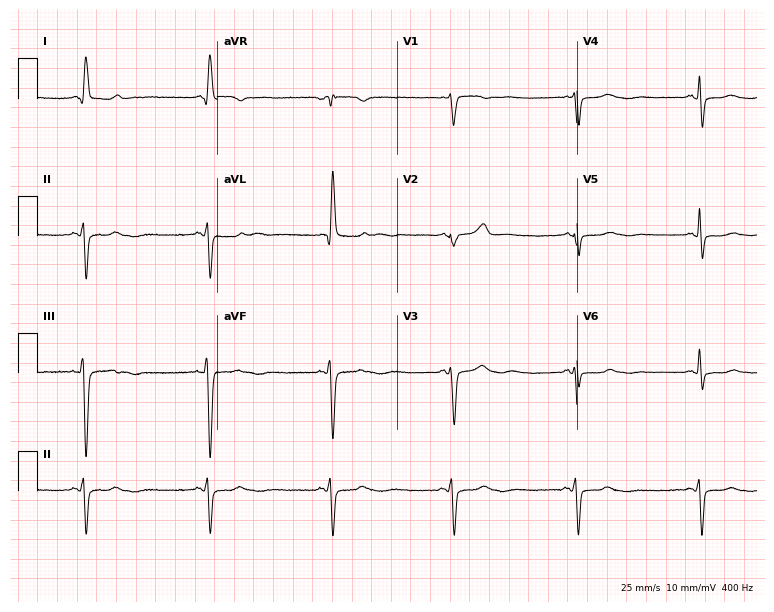
12-lead ECG from a 58-year-old female patient. Screened for six findings — first-degree AV block, right bundle branch block, left bundle branch block, sinus bradycardia, atrial fibrillation, sinus tachycardia — none is recorded. Findings outside these six are not listed.